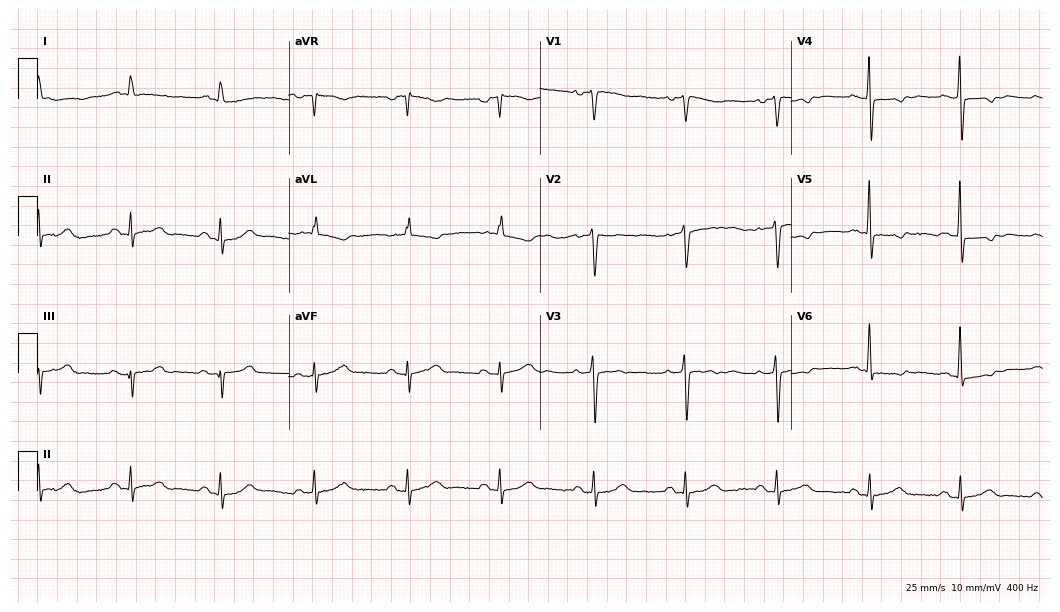
Standard 12-lead ECG recorded from a woman, 76 years old (10.2-second recording at 400 Hz). None of these six findings is recorded: first-degree AV block, right bundle branch block, left bundle branch block, sinus bradycardia, atrial fibrillation, sinus tachycardia. Findings outside these six are not listed.